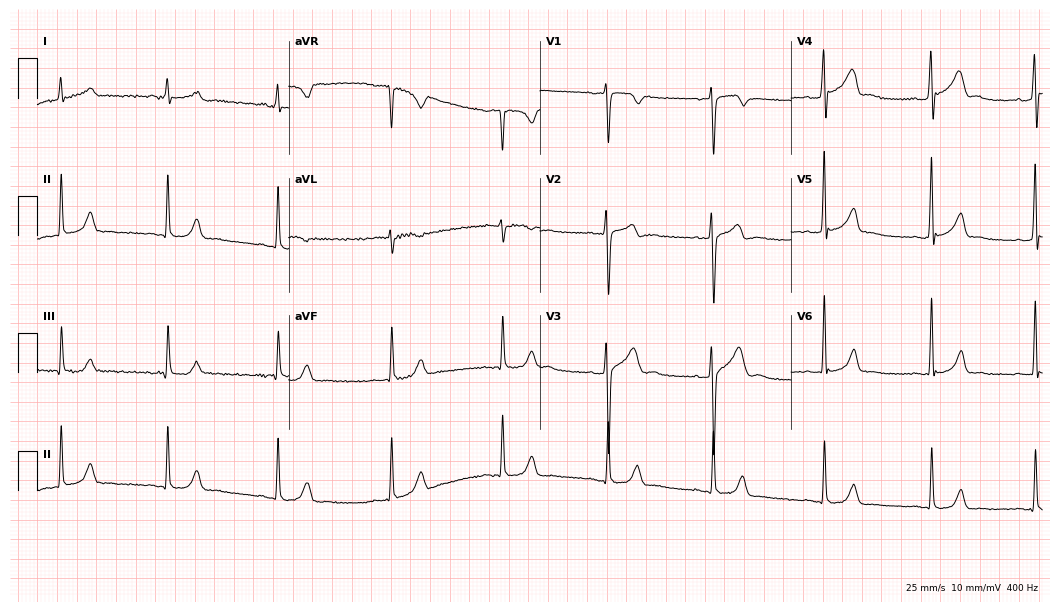
Resting 12-lead electrocardiogram. Patient: a male, 22 years old. None of these six findings is recorded: first-degree AV block, right bundle branch block (RBBB), left bundle branch block (LBBB), sinus bradycardia, atrial fibrillation (AF), sinus tachycardia.